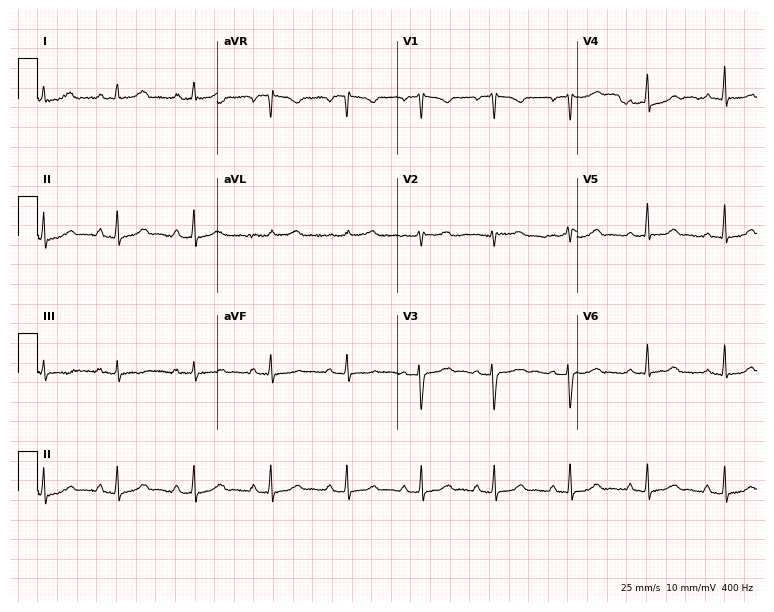
Standard 12-lead ECG recorded from a 34-year-old woman. Read as a normal ECG.